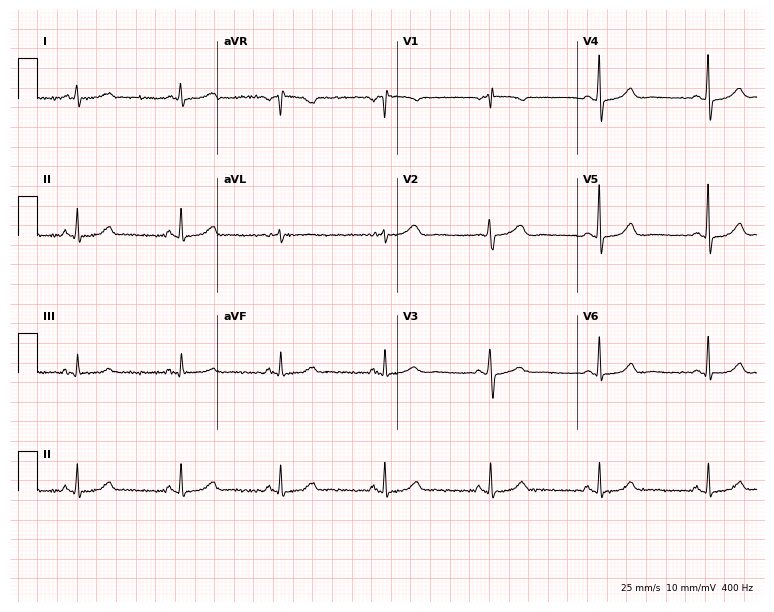
Electrocardiogram, a 68-year-old female patient. Overall reading on record: normal ECG.